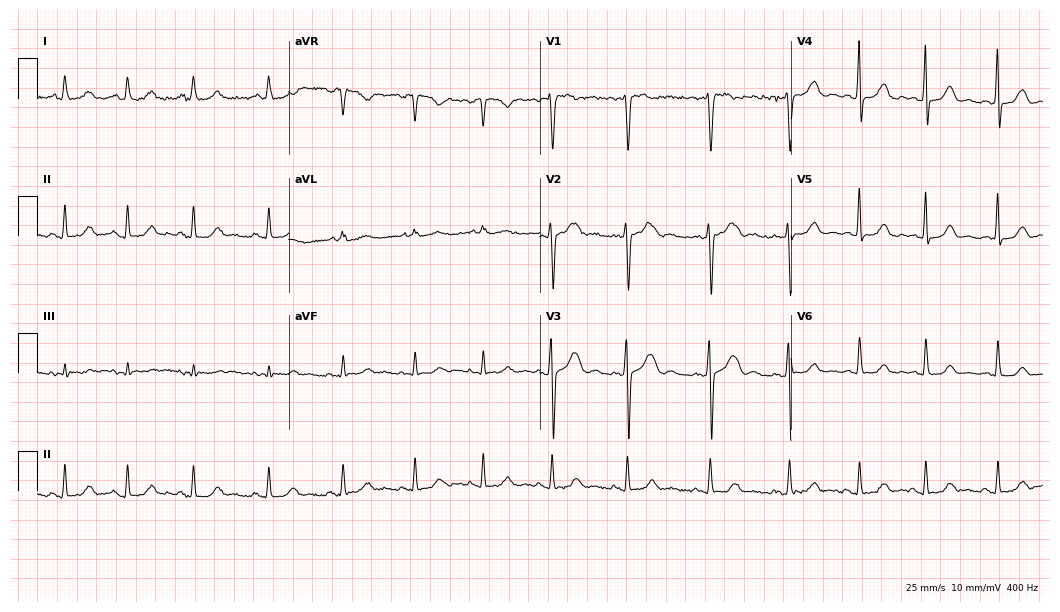
Electrocardiogram, a woman, 32 years old. Overall reading on record: normal ECG.